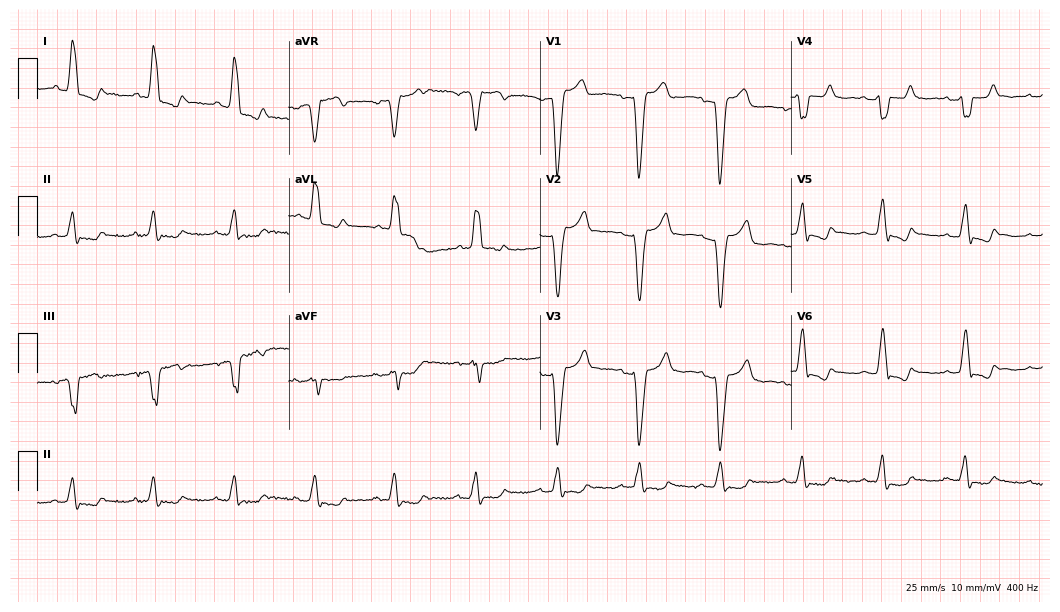
Standard 12-lead ECG recorded from a female, 82 years old. The tracing shows left bundle branch block.